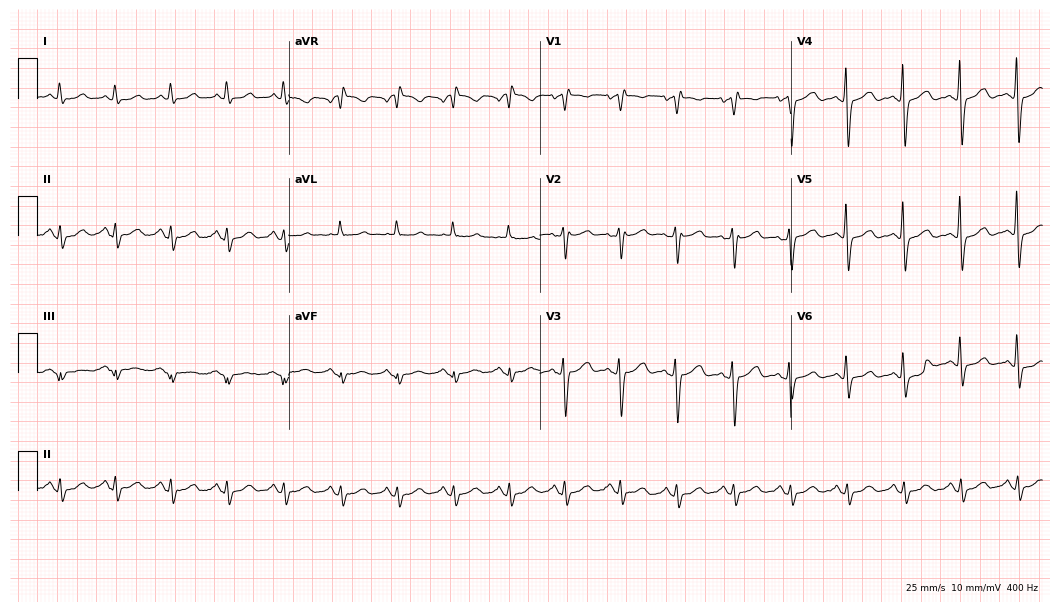
Resting 12-lead electrocardiogram (10.2-second recording at 400 Hz). Patient: a female, 55 years old. The tracing shows sinus tachycardia (a sinus rate of 100 beats per minute or more).